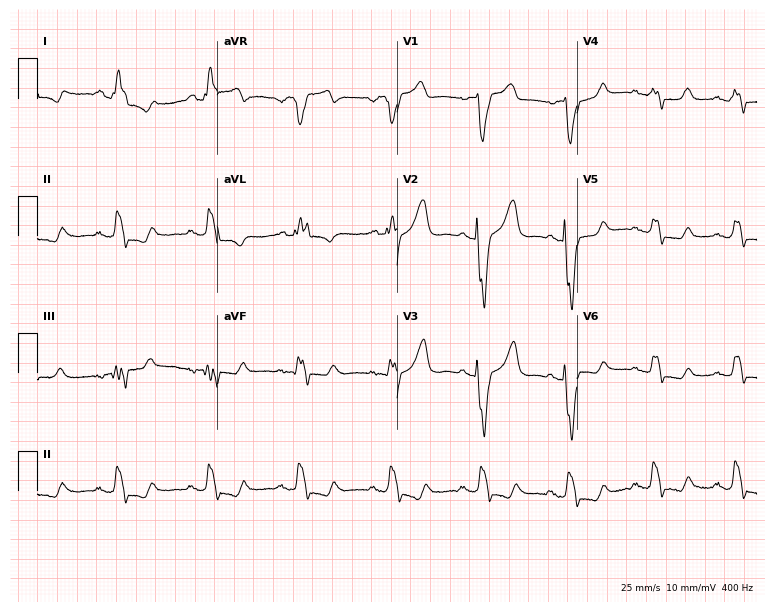
12-lead ECG from a woman, 63 years old (7.3-second recording at 400 Hz). Shows left bundle branch block (LBBB).